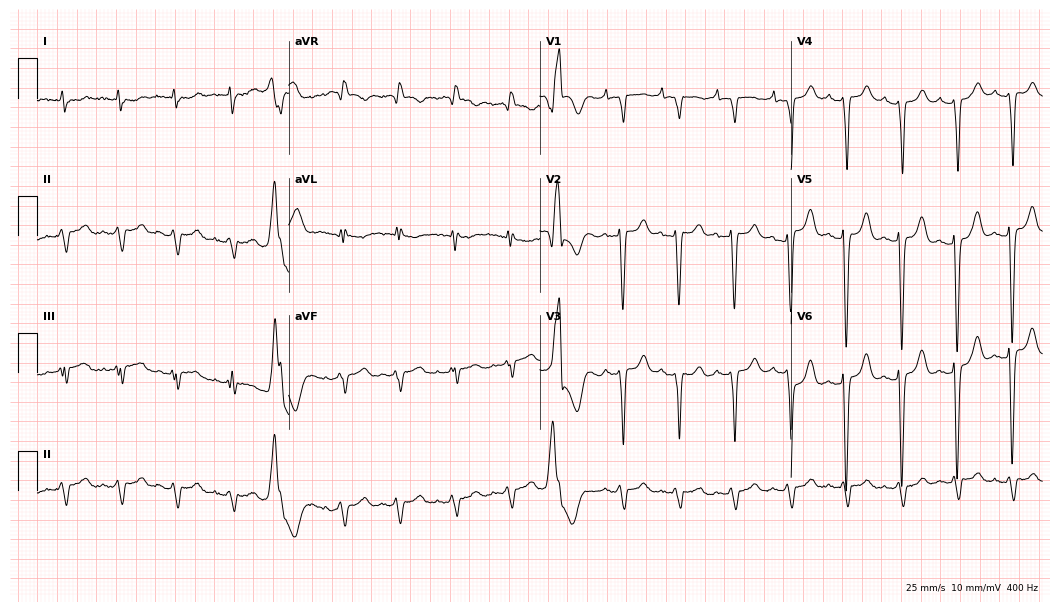
12-lead ECG (10.2-second recording at 400 Hz) from a 70-year-old female. Findings include sinus tachycardia (a sinus rate of 100 beats per minute or more).